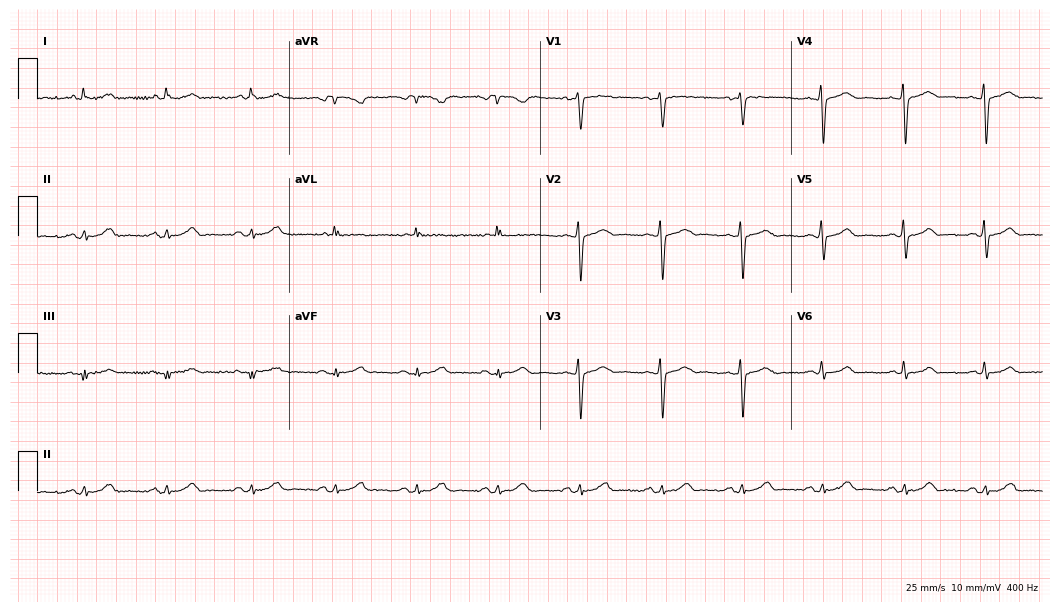
12-lead ECG (10.2-second recording at 400 Hz) from a female, 52 years old. Labelled as a normal ECG.